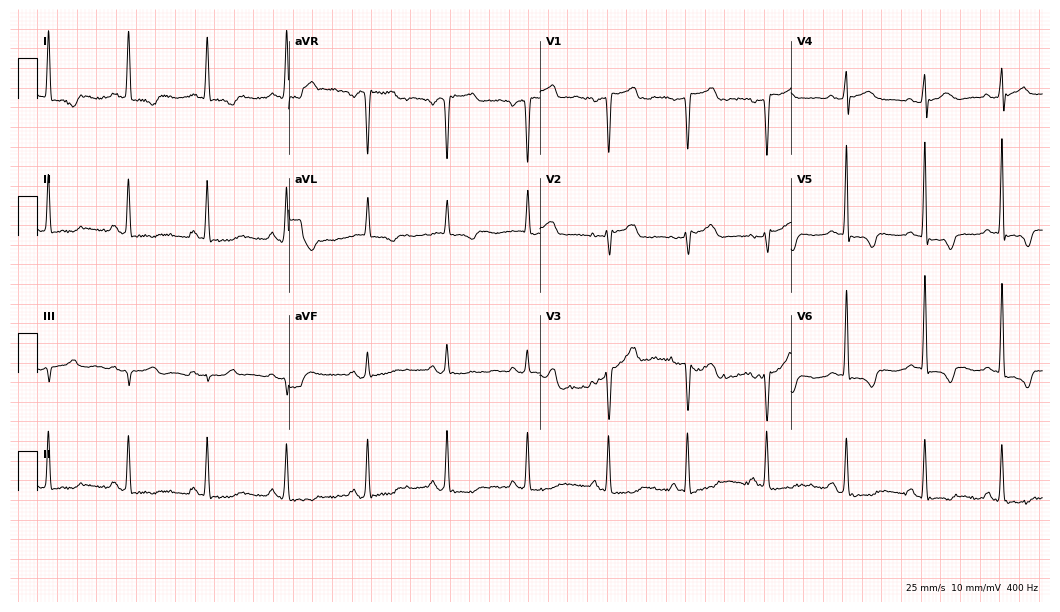
12-lead ECG from a 63-year-old female. No first-degree AV block, right bundle branch block, left bundle branch block, sinus bradycardia, atrial fibrillation or sinus tachycardia recorded for this tracing. Only these six findings were labelled.